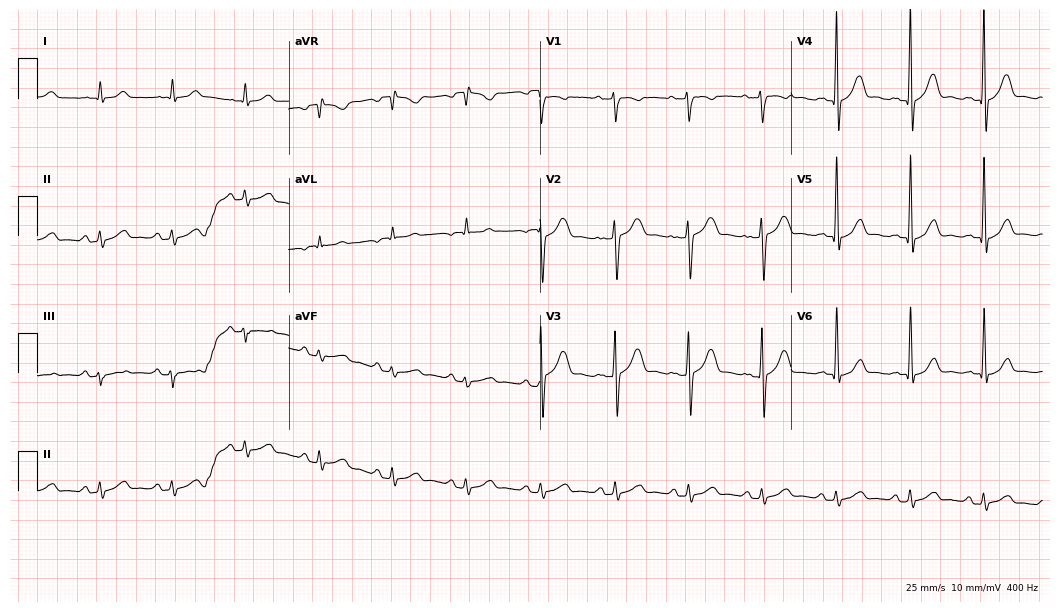
12-lead ECG from a male patient, 55 years old. Recorded interpretation: within normal limits.